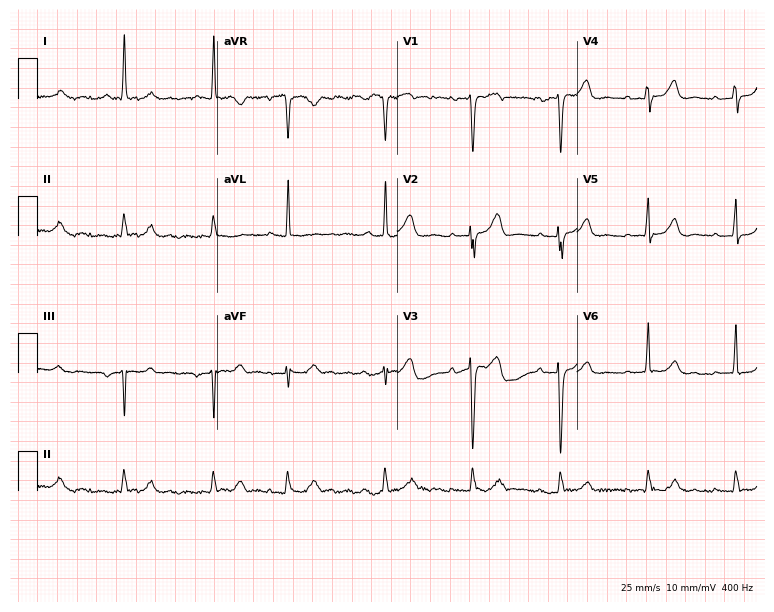
12-lead ECG from a 78-year-old woman. Recorded interpretation: within normal limits.